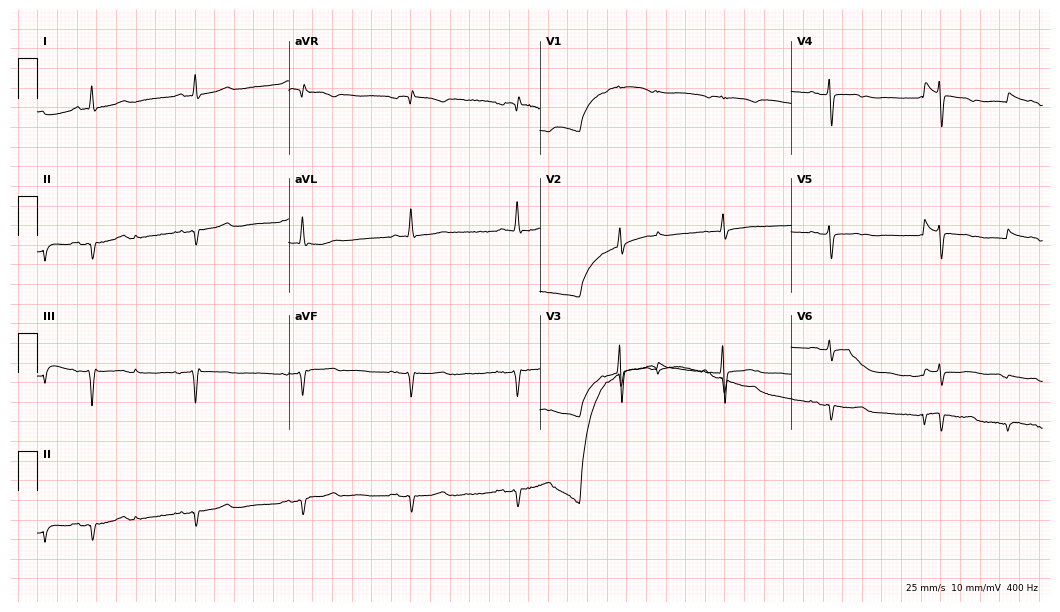
Electrocardiogram (10.2-second recording at 400 Hz), a 63-year-old female patient. Of the six screened findings (first-degree AV block, right bundle branch block, left bundle branch block, sinus bradycardia, atrial fibrillation, sinus tachycardia), none is recorded. Only these six findings were labelled.